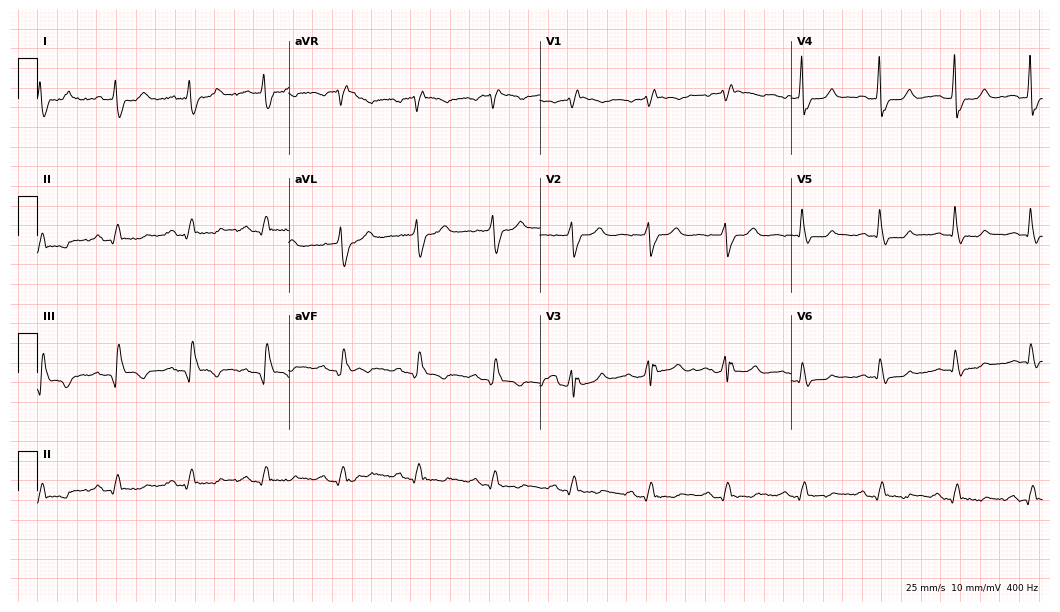
12-lead ECG from a male, 66 years old. Findings include right bundle branch block.